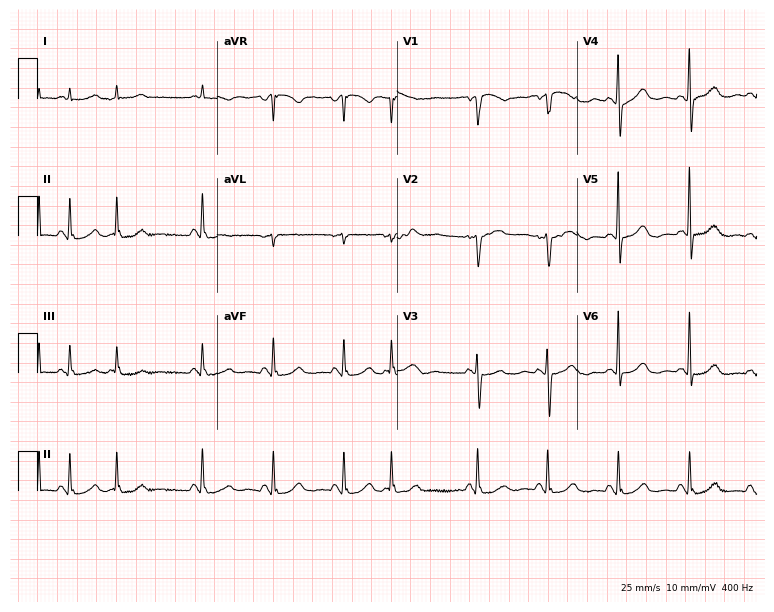
12-lead ECG (7.3-second recording at 400 Hz) from a 61-year-old female patient. Screened for six findings — first-degree AV block, right bundle branch block (RBBB), left bundle branch block (LBBB), sinus bradycardia, atrial fibrillation (AF), sinus tachycardia — none is recorded. Findings outside these six are not listed.